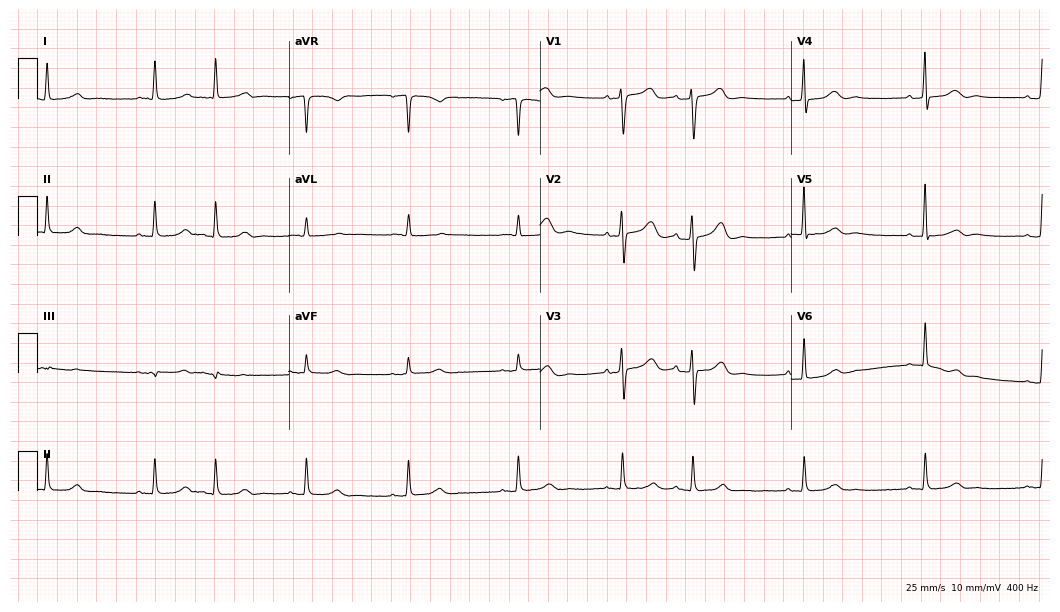
Standard 12-lead ECG recorded from a female, 75 years old (10.2-second recording at 400 Hz). Read as a normal ECG.